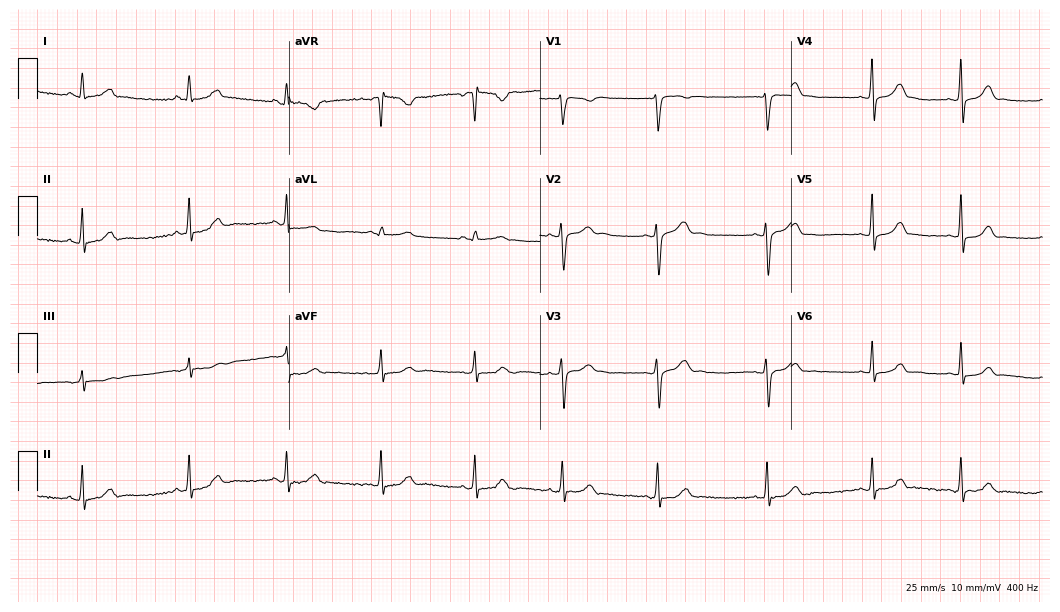
Standard 12-lead ECG recorded from a female, 24 years old. Read as a normal ECG.